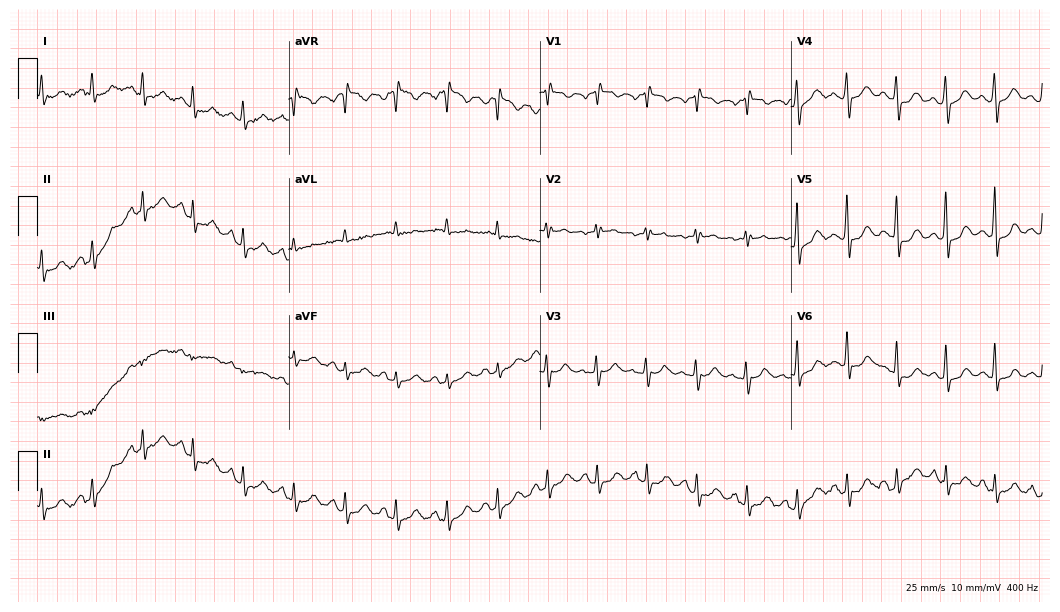
Standard 12-lead ECG recorded from a female, 46 years old (10.2-second recording at 400 Hz). None of these six findings is recorded: first-degree AV block, right bundle branch block (RBBB), left bundle branch block (LBBB), sinus bradycardia, atrial fibrillation (AF), sinus tachycardia. Only these six findings were labelled.